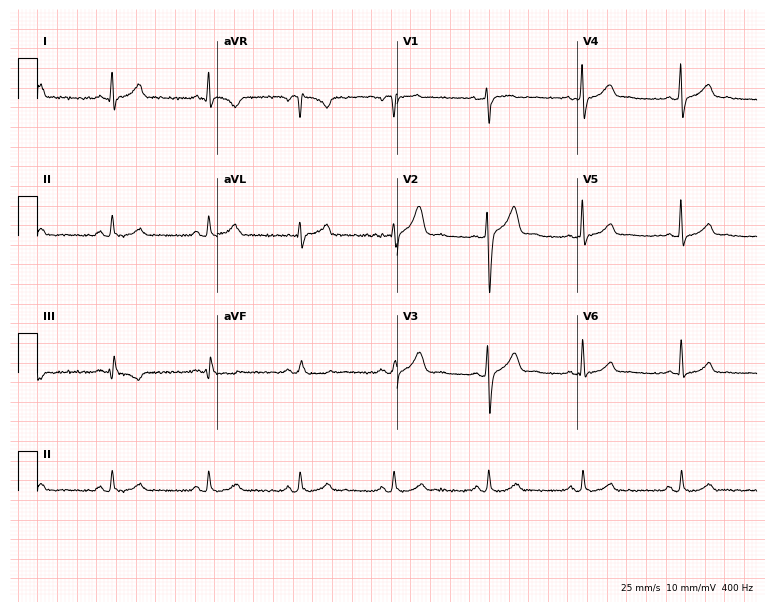
Standard 12-lead ECG recorded from a 33-year-old man. Read as a normal ECG.